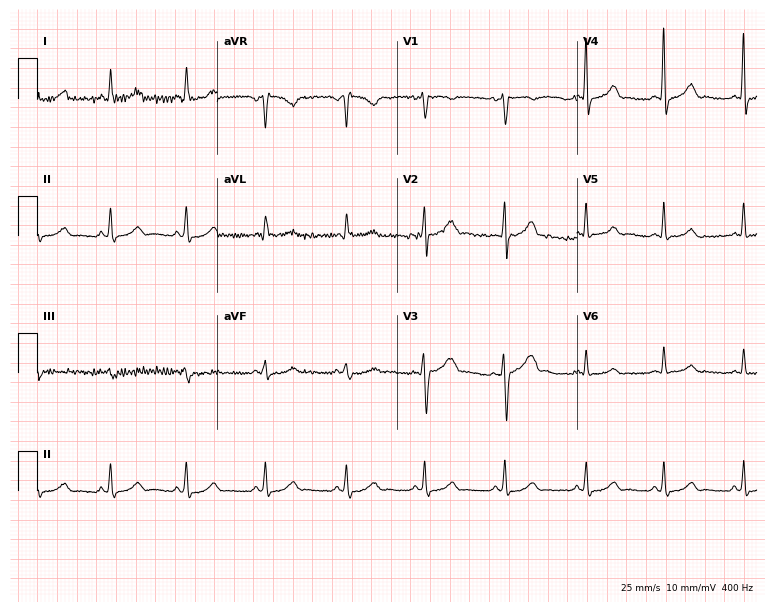
Standard 12-lead ECG recorded from a 37-year-old woman. None of these six findings is recorded: first-degree AV block, right bundle branch block (RBBB), left bundle branch block (LBBB), sinus bradycardia, atrial fibrillation (AF), sinus tachycardia.